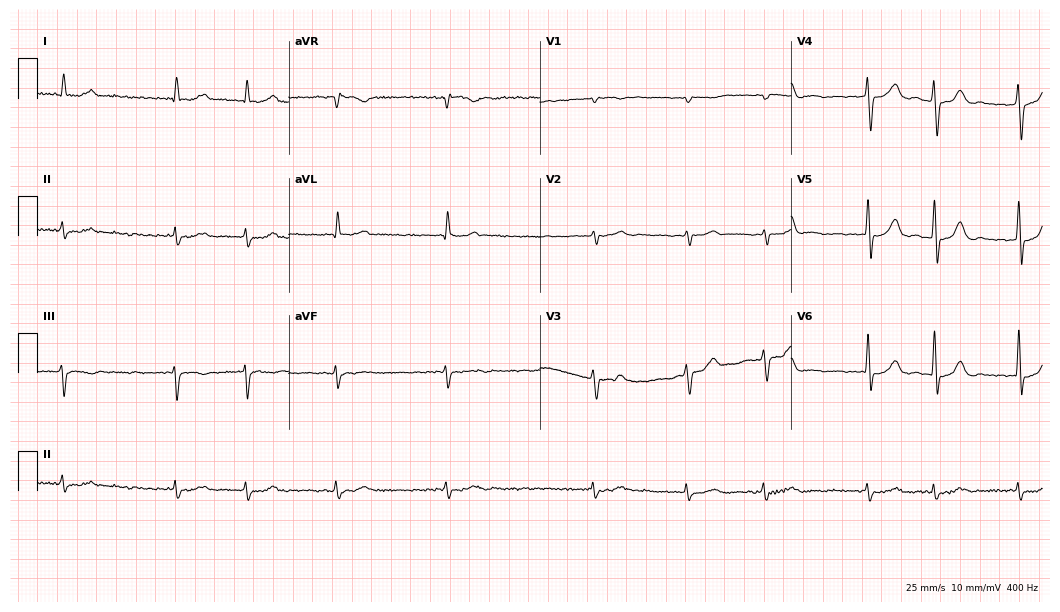
Resting 12-lead electrocardiogram (10.2-second recording at 400 Hz). Patient: a 75-year-old male. The tracing shows atrial fibrillation.